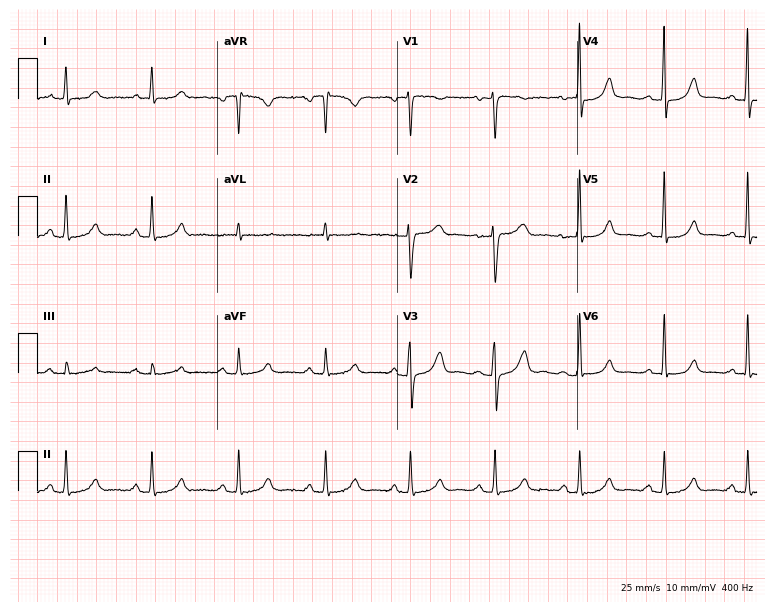
ECG (7.3-second recording at 400 Hz) — a female, 42 years old. Labelled as a normal ECG.